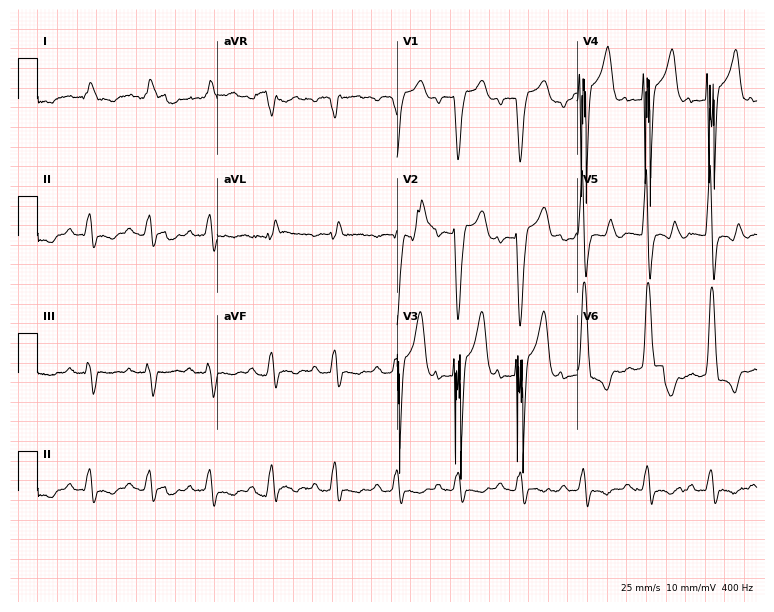
ECG — a male, 78 years old. Findings include left bundle branch block.